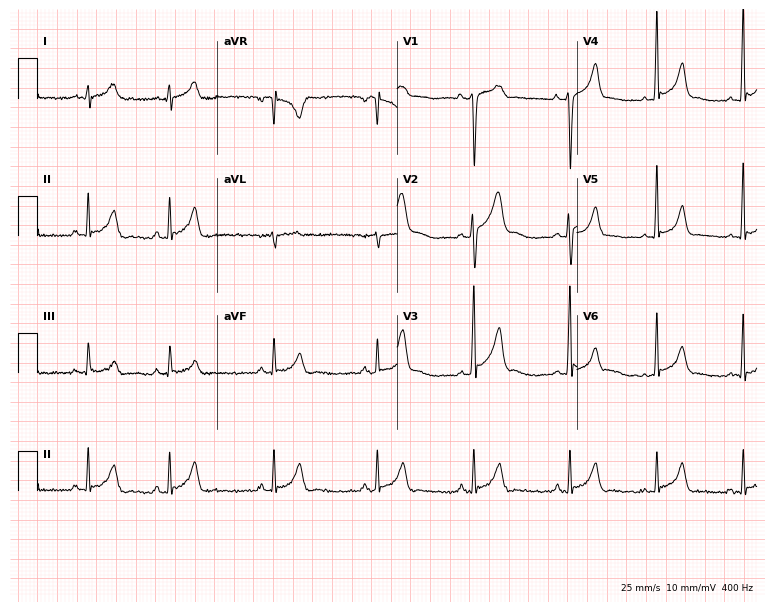
Resting 12-lead electrocardiogram (7.3-second recording at 400 Hz). Patient: a man, 18 years old. Read as a normal ECG.